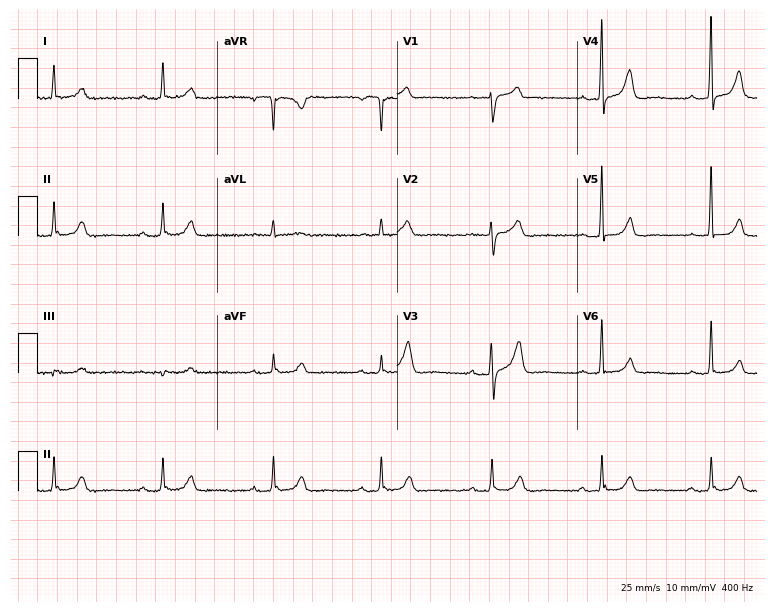
Electrocardiogram, an 80-year-old male patient. Overall reading on record: normal ECG.